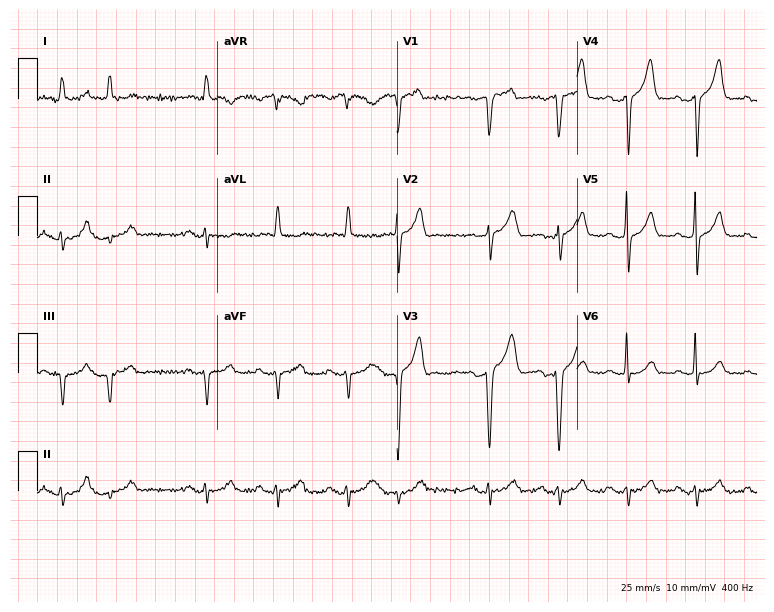
Resting 12-lead electrocardiogram. Patient: a male, 64 years old. None of these six findings is recorded: first-degree AV block, right bundle branch block, left bundle branch block, sinus bradycardia, atrial fibrillation, sinus tachycardia.